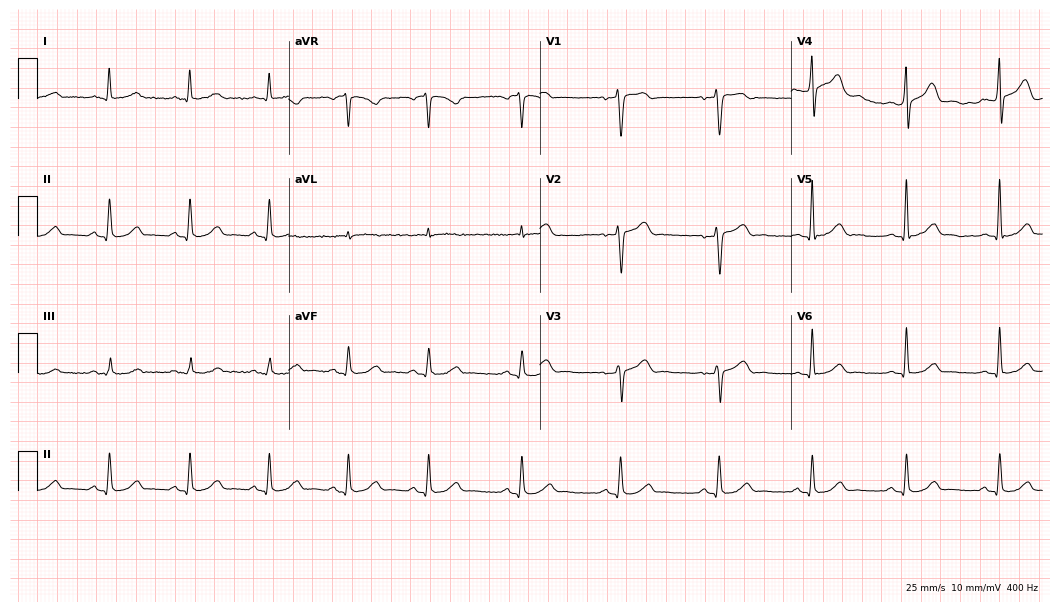
Standard 12-lead ECG recorded from a 52-year-old man. Read as a normal ECG.